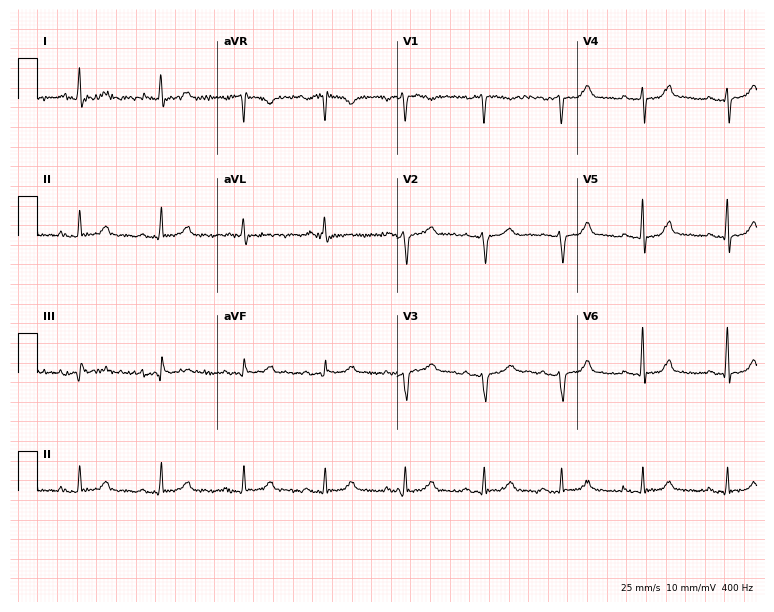
12-lead ECG from a male patient, 59 years old. Labelled as a normal ECG.